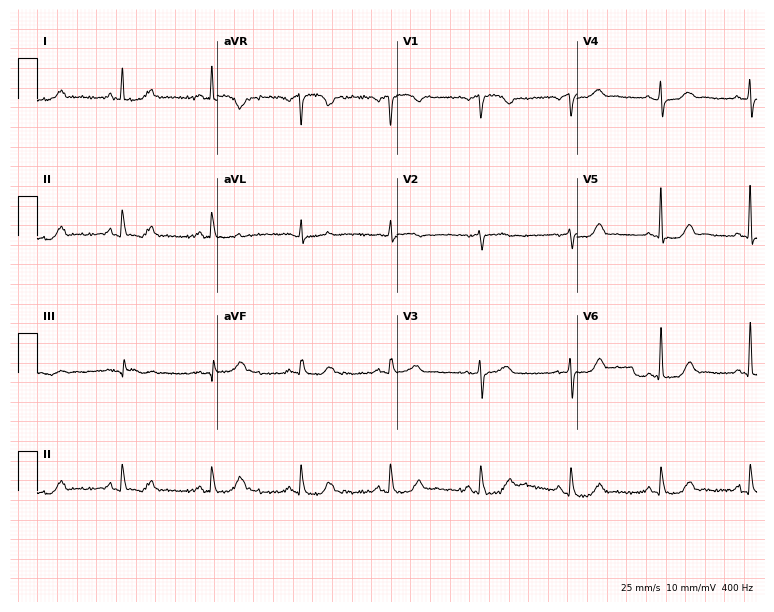
12-lead ECG from a female, 73 years old. Screened for six findings — first-degree AV block, right bundle branch block, left bundle branch block, sinus bradycardia, atrial fibrillation, sinus tachycardia — none is recorded. Findings outside these six are not listed.